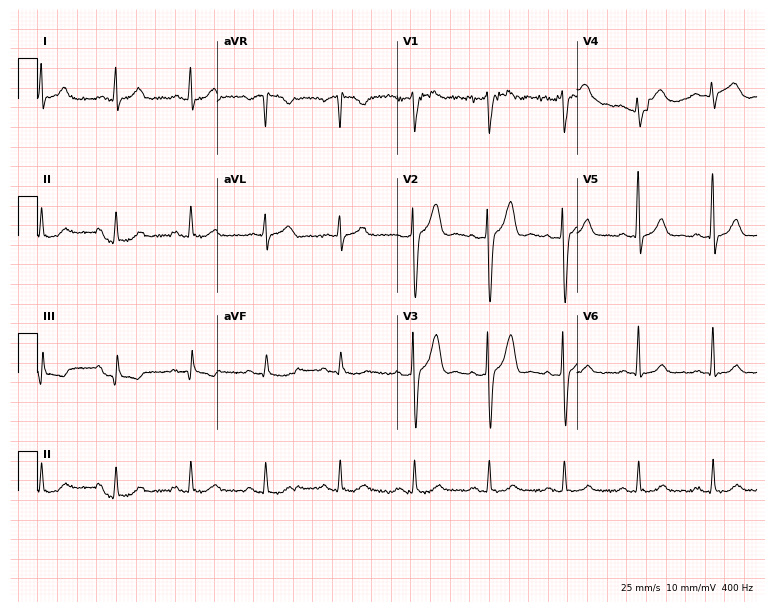
ECG — a male patient, 55 years old. Screened for six findings — first-degree AV block, right bundle branch block, left bundle branch block, sinus bradycardia, atrial fibrillation, sinus tachycardia — none is recorded. Other findings, if any, are not listed.